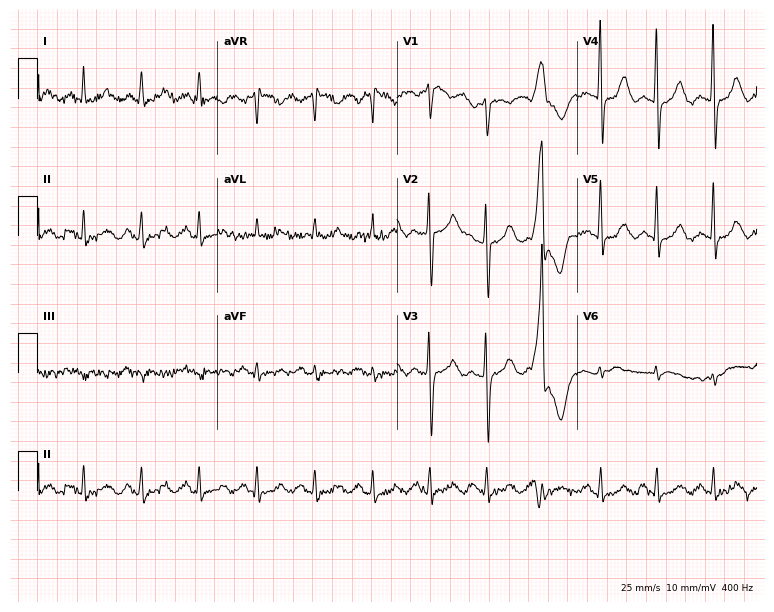
Electrocardiogram, a woman, 64 years old. Interpretation includes sinus tachycardia (a sinus rate of 100 beats per minute or more).